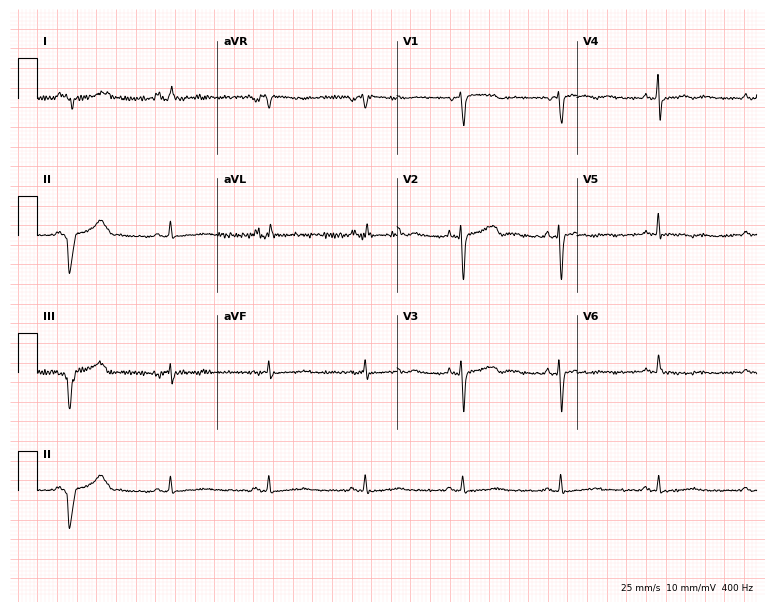
ECG (7.3-second recording at 400 Hz) — a female, 49 years old. Screened for six findings — first-degree AV block, right bundle branch block, left bundle branch block, sinus bradycardia, atrial fibrillation, sinus tachycardia — none is recorded.